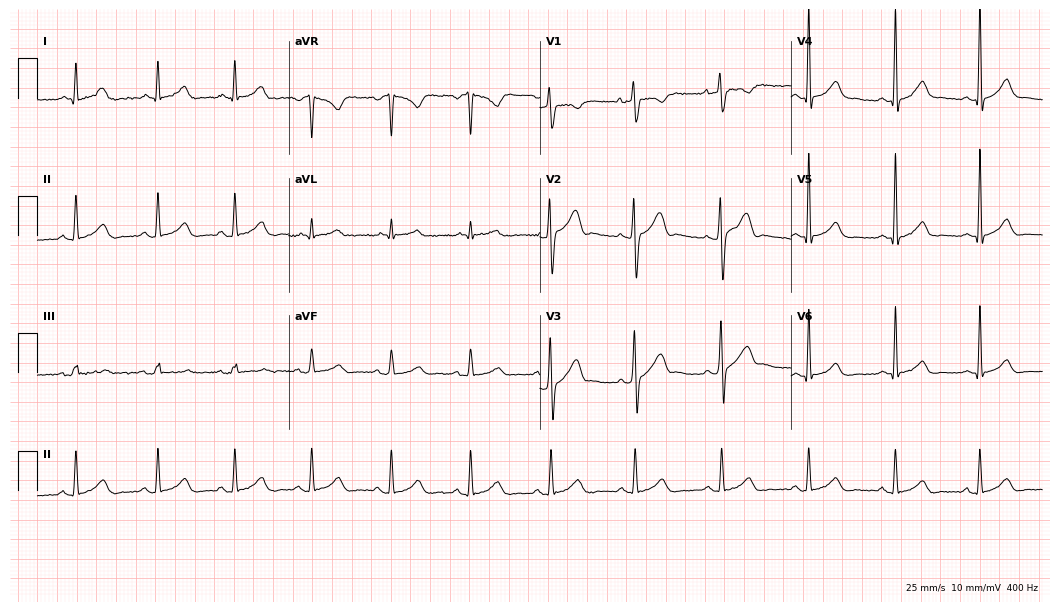
Standard 12-lead ECG recorded from a man, 25 years old (10.2-second recording at 400 Hz). Read as a normal ECG.